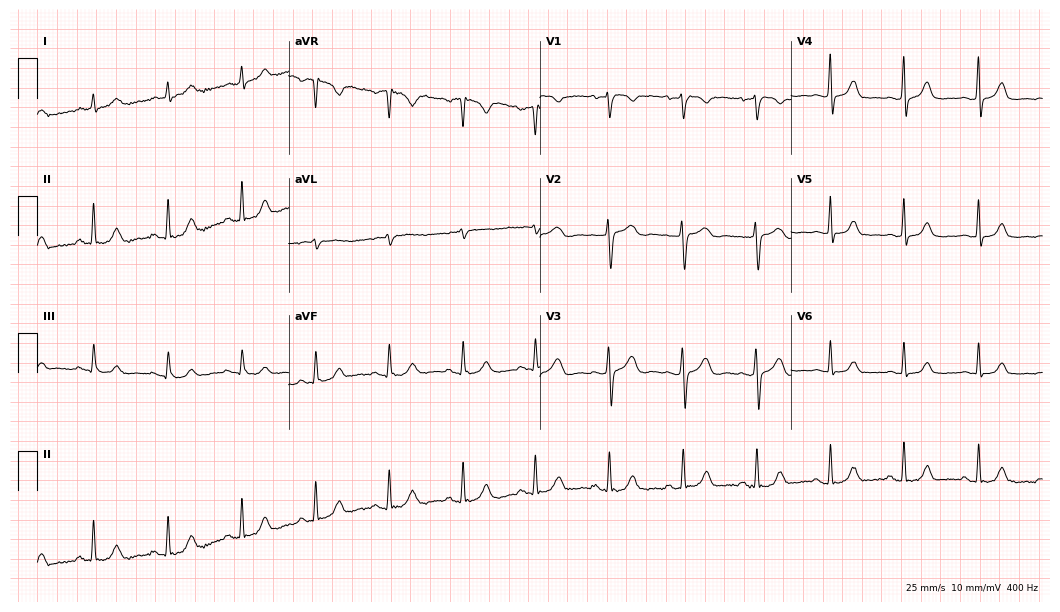
12-lead ECG from a 59-year-old woman. Recorded interpretation: within normal limits.